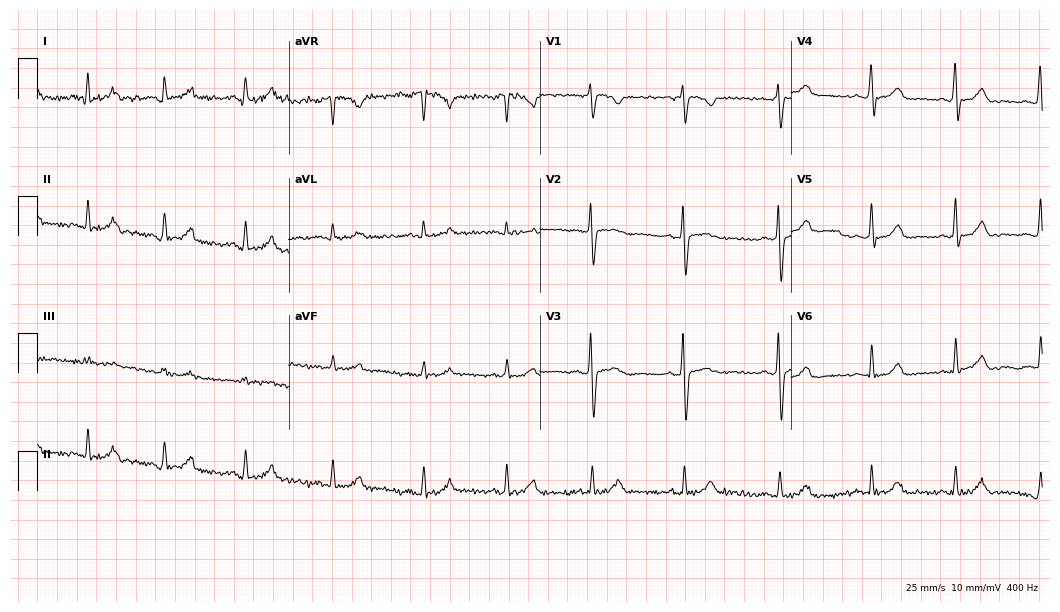
12-lead ECG (10.2-second recording at 400 Hz) from a woman, 33 years old. Labelled as a normal ECG.